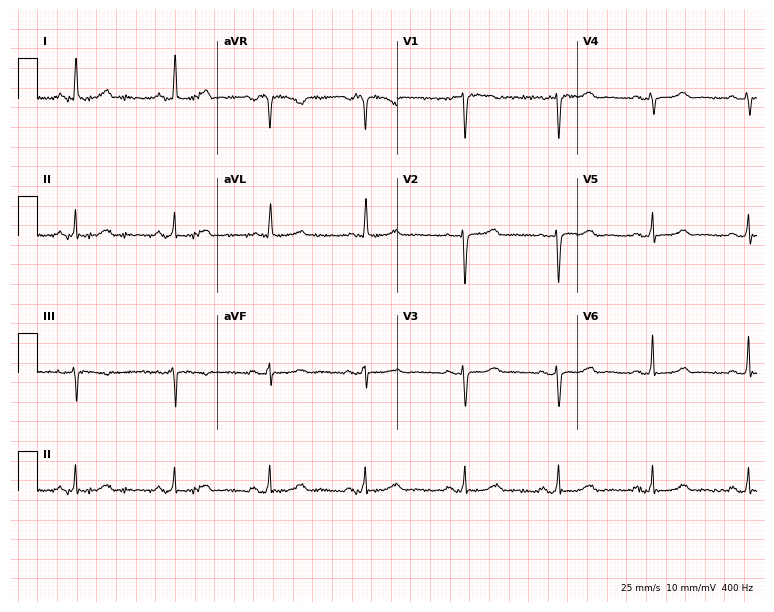
Resting 12-lead electrocardiogram (7.3-second recording at 400 Hz). Patient: a female, 64 years old. None of these six findings is recorded: first-degree AV block, right bundle branch block, left bundle branch block, sinus bradycardia, atrial fibrillation, sinus tachycardia. Other findings, if any, are not listed.